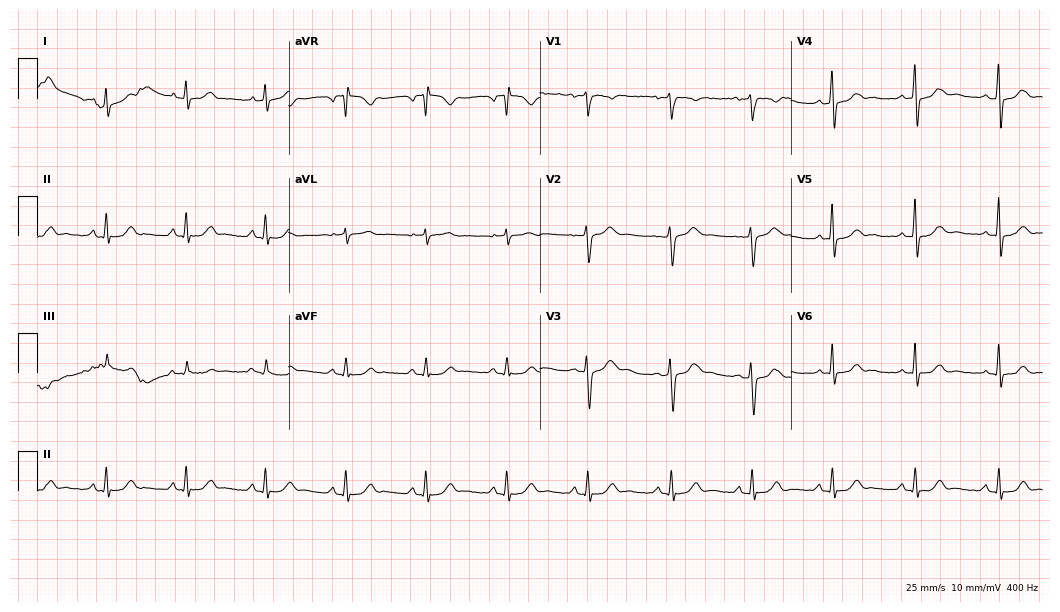
Electrocardiogram, a 48-year-old man. Overall reading on record: normal ECG.